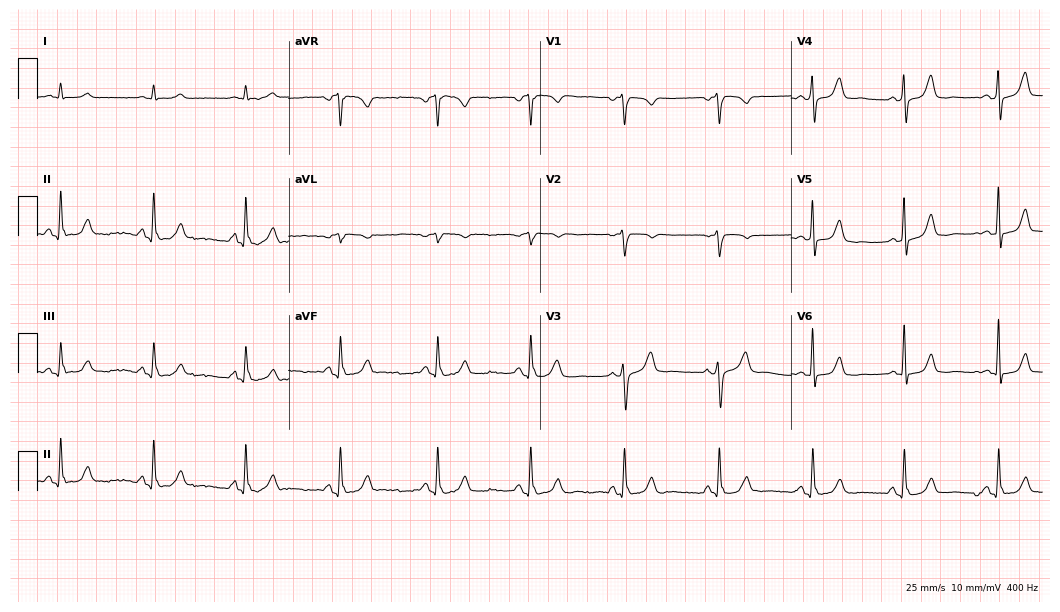
ECG — a 69-year-old male. Labelled as a normal ECG.